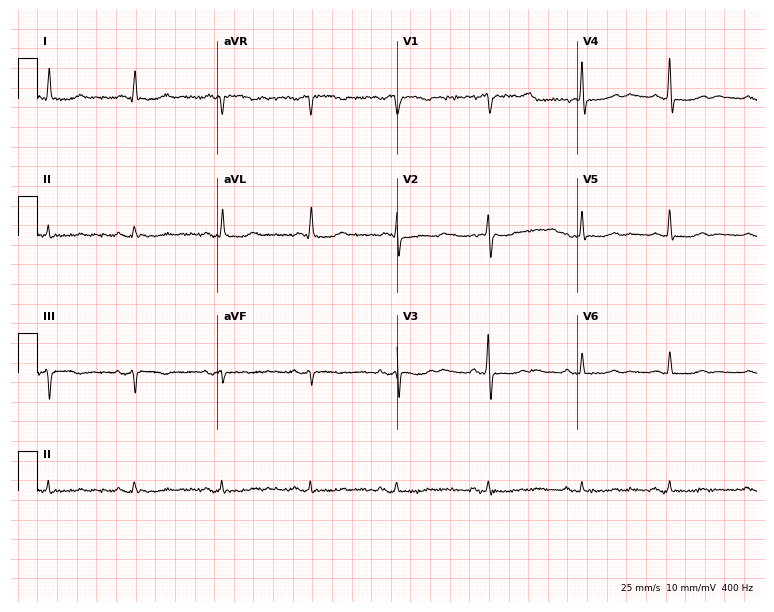
Standard 12-lead ECG recorded from a woman, 76 years old (7.3-second recording at 400 Hz). None of these six findings is recorded: first-degree AV block, right bundle branch block, left bundle branch block, sinus bradycardia, atrial fibrillation, sinus tachycardia. Other findings, if any, are not listed.